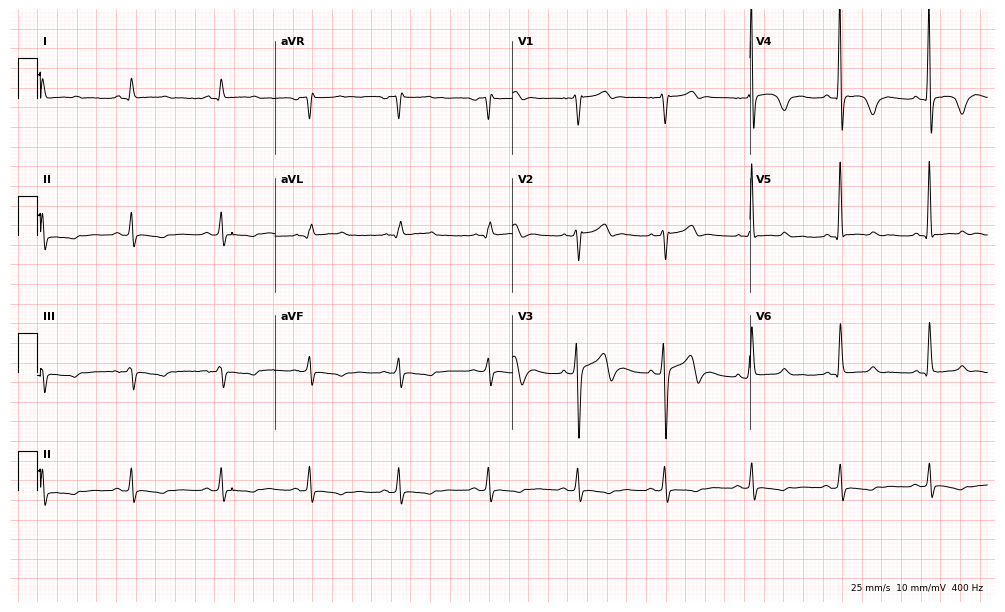
Standard 12-lead ECG recorded from a male patient, 56 years old (9.7-second recording at 400 Hz). None of these six findings is recorded: first-degree AV block, right bundle branch block, left bundle branch block, sinus bradycardia, atrial fibrillation, sinus tachycardia. Other findings, if any, are not listed.